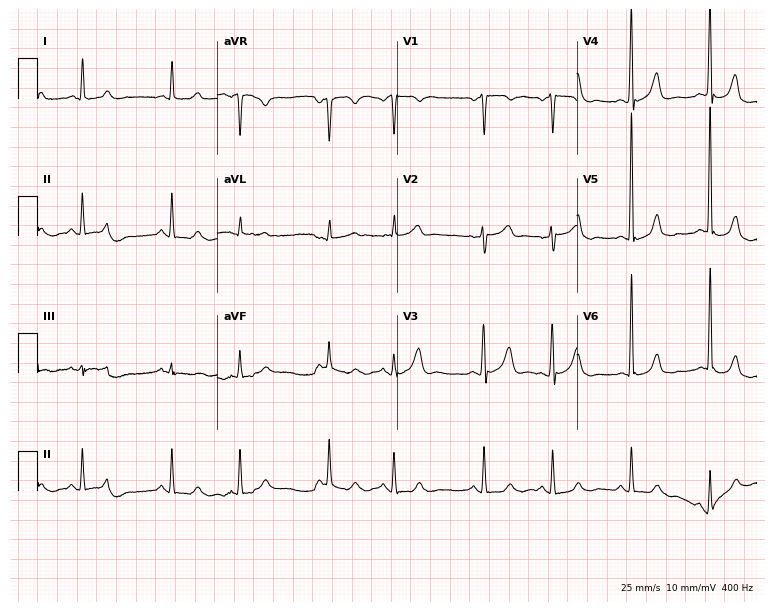
Resting 12-lead electrocardiogram (7.3-second recording at 400 Hz). Patient: a man, 84 years old. None of these six findings is recorded: first-degree AV block, right bundle branch block, left bundle branch block, sinus bradycardia, atrial fibrillation, sinus tachycardia.